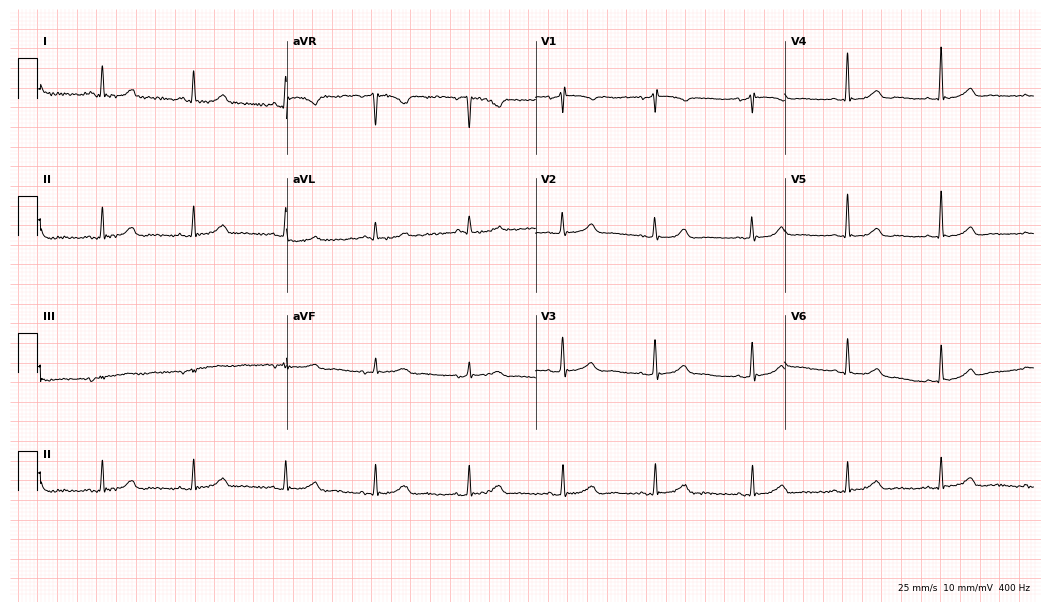
12-lead ECG from a 40-year-old female patient. Recorded interpretation: within normal limits.